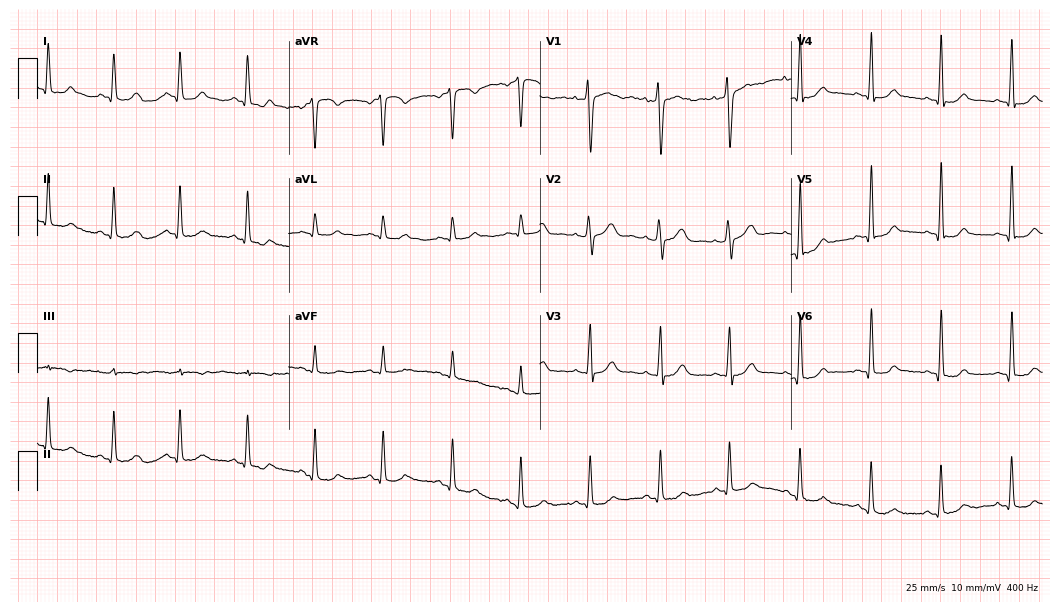
Standard 12-lead ECG recorded from a 38-year-old female. Read as a normal ECG.